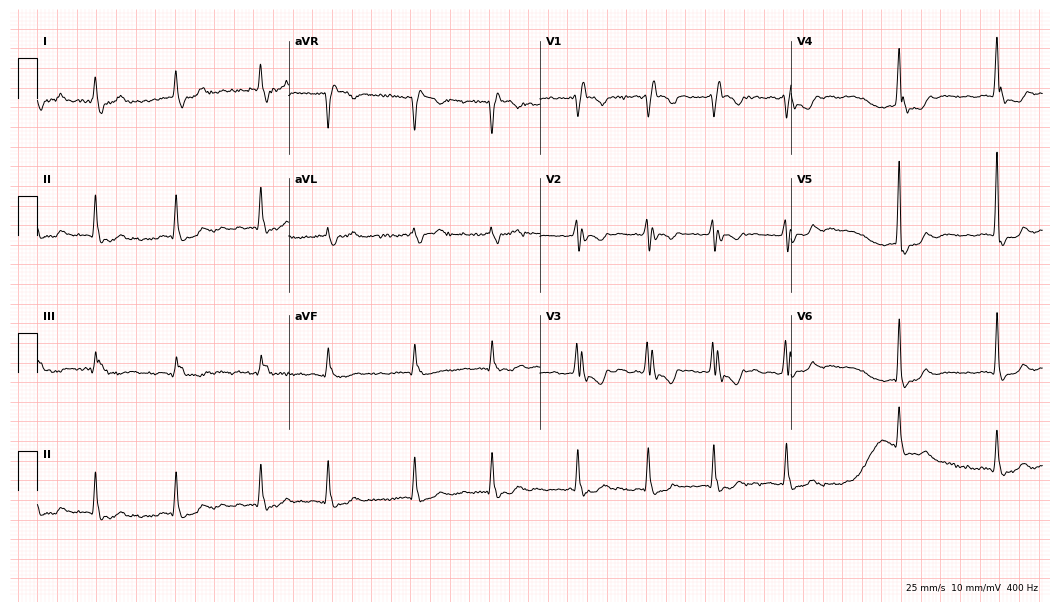
Electrocardiogram, a female, 84 years old. Interpretation includes right bundle branch block, atrial fibrillation.